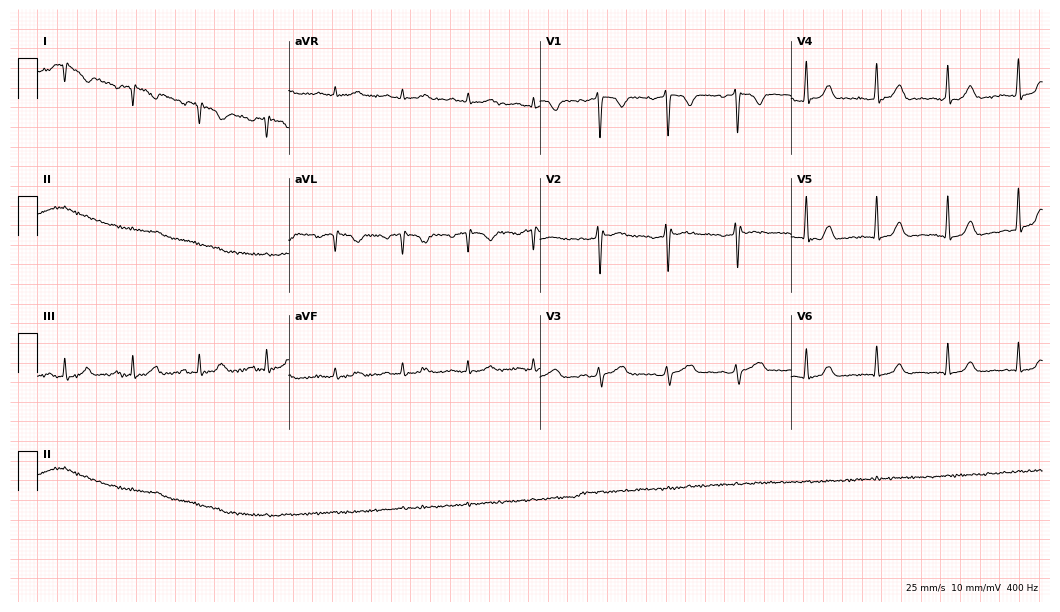
Standard 12-lead ECG recorded from a female, 41 years old. None of these six findings is recorded: first-degree AV block, right bundle branch block (RBBB), left bundle branch block (LBBB), sinus bradycardia, atrial fibrillation (AF), sinus tachycardia.